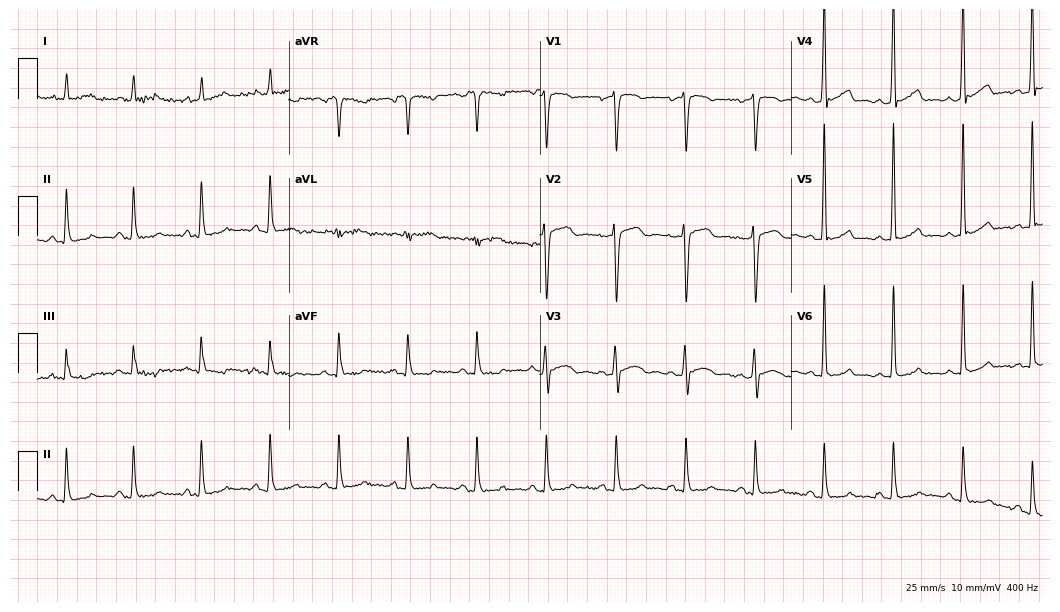
Resting 12-lead electrocardiogram (10.2-second recording at 400 Hz). Patient: a 52-year-old female. None of these six findings is recorded: first-degree AV block, right bundle branch block, left bundle branch block, sinus bradycardia, atrial fibrillation, sinus tachycardia.